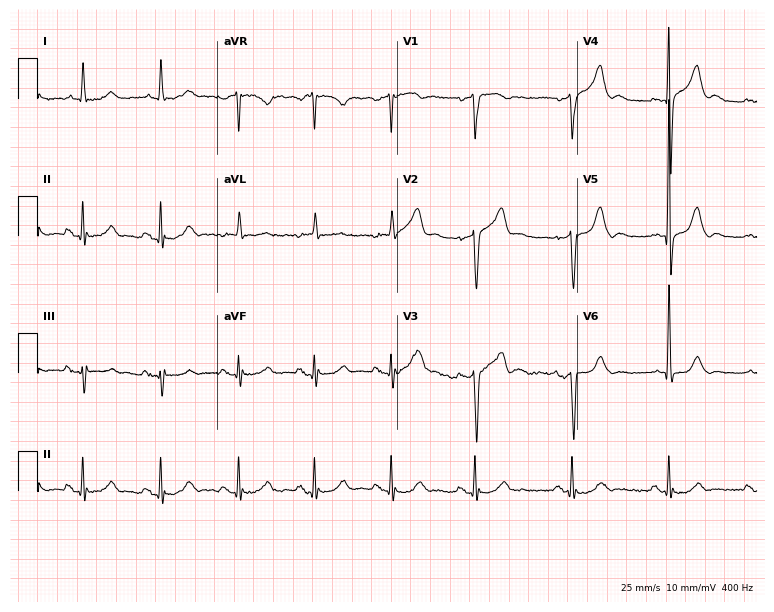
12-lead ECG (7.3-second recording at 400 Hz) from a man, 77 years old. Labelled as a normal ECG.